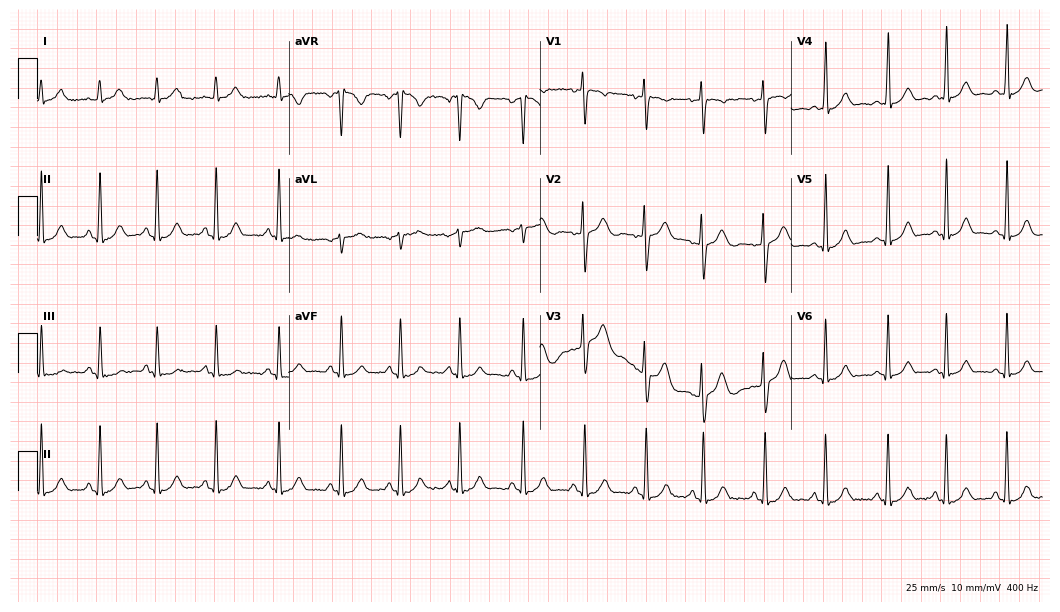
Standard 12-lead ECG recorded from a 19-year-old female patient (10.2-second recording at 400 Hz). Read as a normal ECG.